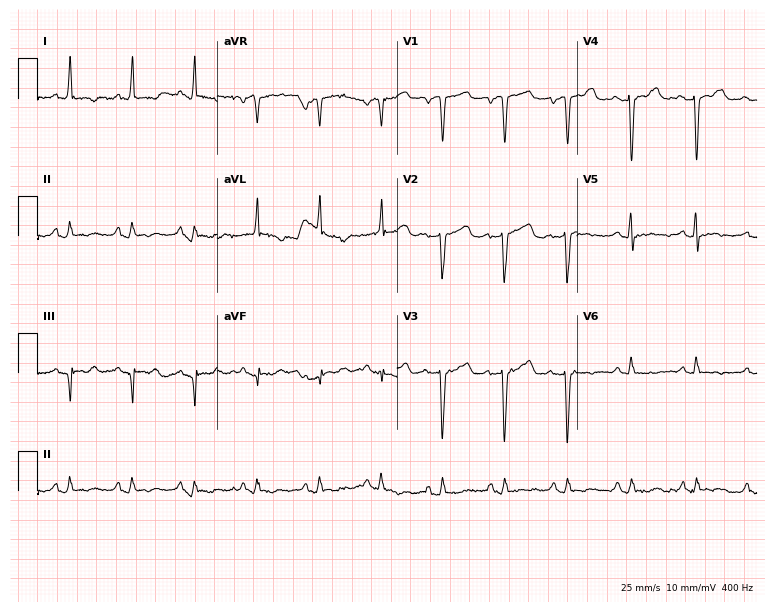
Resting 12-lead electrocardiogram (7.3-second recording at 400 Hz). Patient: a 78-year-old female. None of these six findings is recorded: first-degree AV block, right bundle branch block, left bundle branch block, sinus bradycardia, atrial fibrillation, sinus tachycardia.